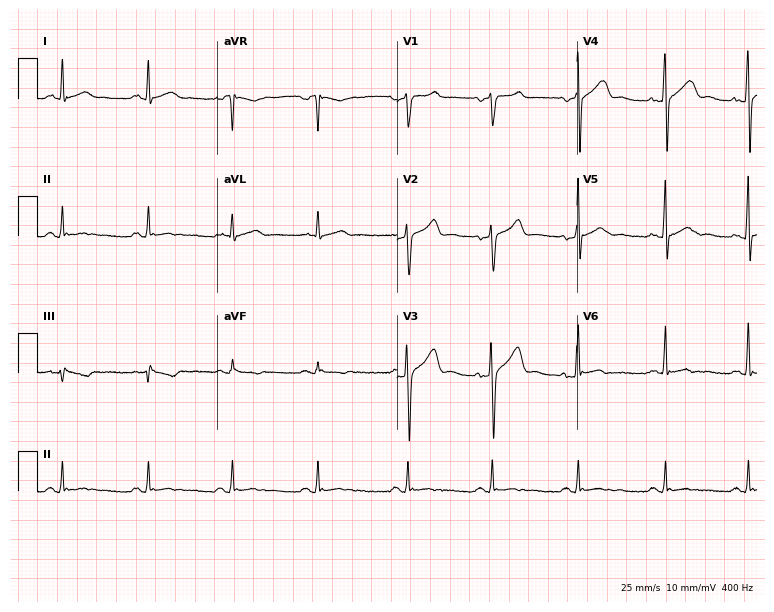
12-lead ECG from a 50-year-old man. No first-degree AV block, right bundle branch block (RBBB), left bundle branch block (LBBB), sinus bradycardia, atrial fibrillation (AF) or sinus tachycardia recorded for this tracing.